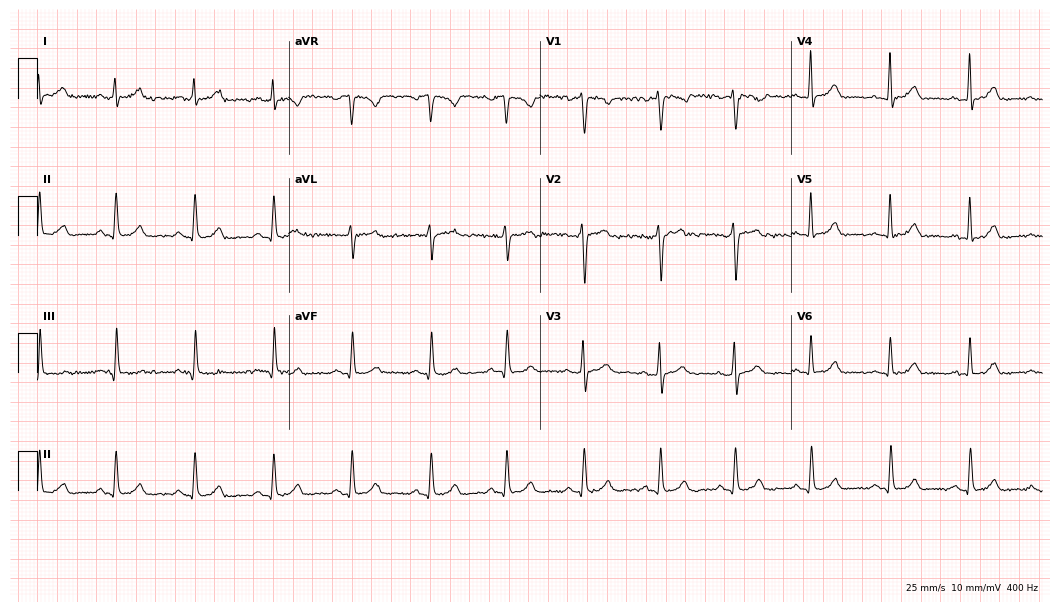
12-lead ECG (10.2-second recording at 400 Hz) from a female, 33 years old. Screened for six findings — first-degree AV block, right bundle branch block, left bundle branch block, sinus bradycardia, atrial fibrillation, sinus tachycardia — none is recorded.